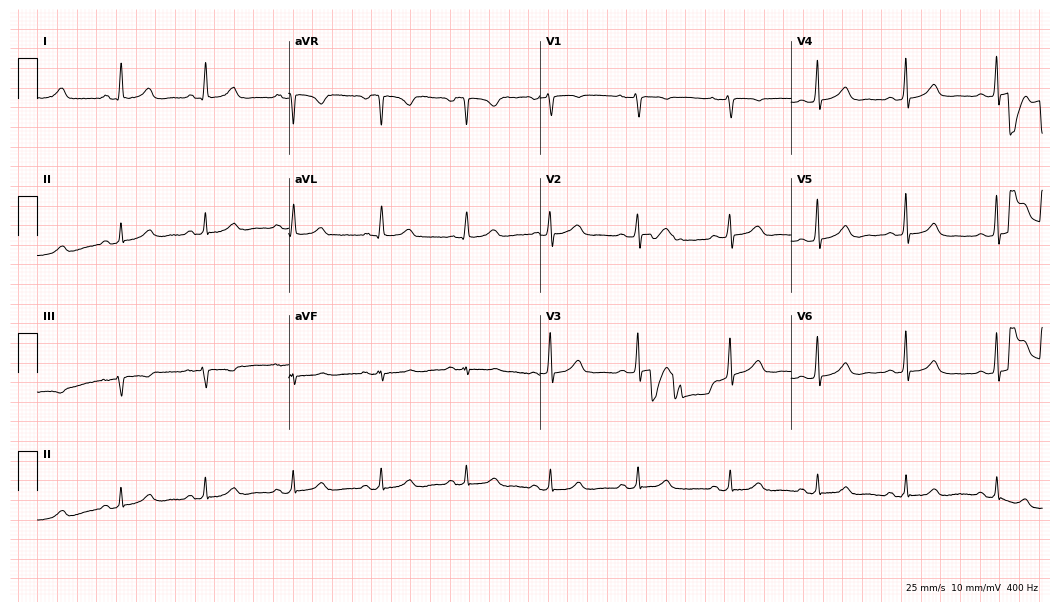
ECG (10.2-second recording at 400 Hz) — a female, 35 years old. Labelled as a normal ECG.